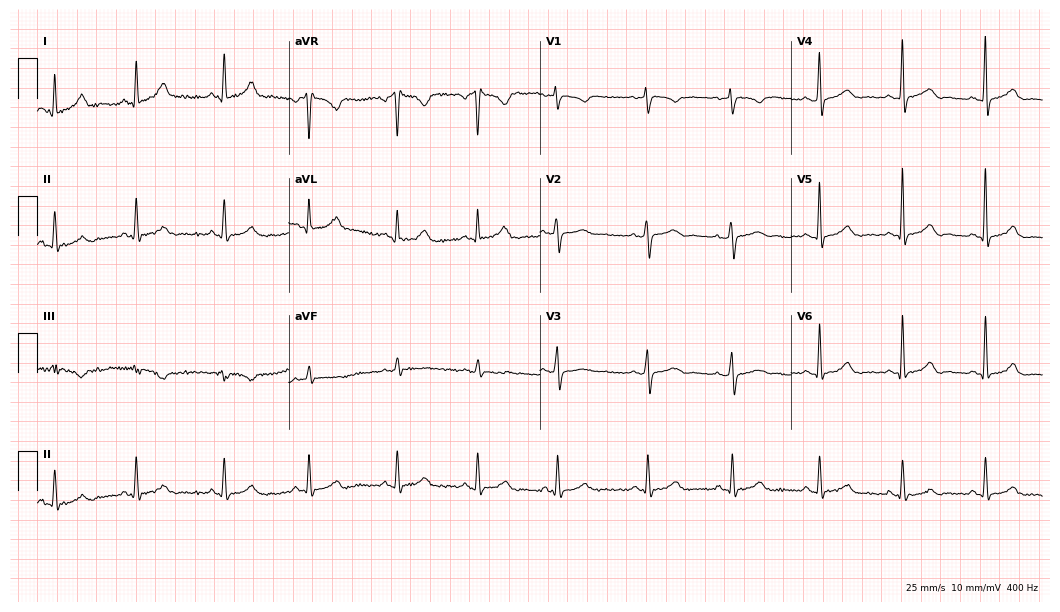
12-lead ECG (10.2-second recording at 400 Hz) from a female patient, 51 years old. Labelled as a normal ECG.